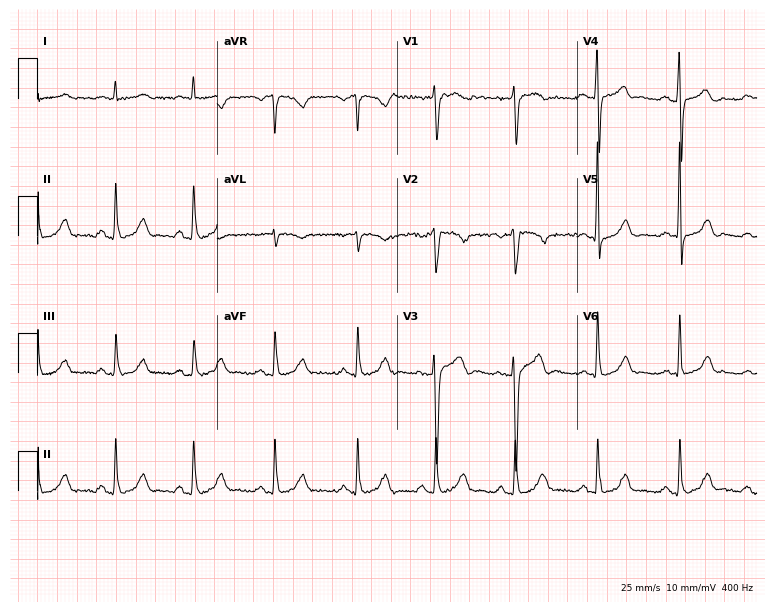
12-lead ECG from a man, 44 years old (7.3-second recording at 400 Hz). Recorded interpretation: within normal limits.